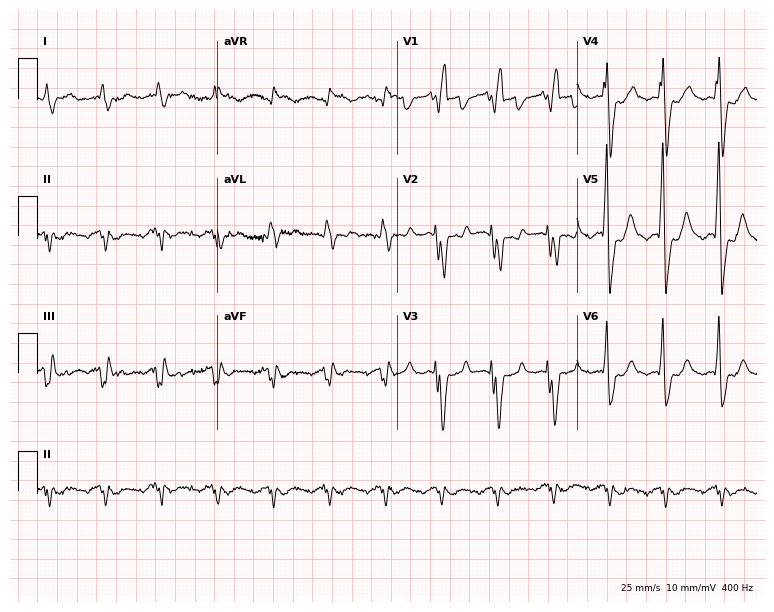
12-lead ECG from a 79-year-old male patient (7.3-second recording at 400 Hz). Shows right bundle branch block.